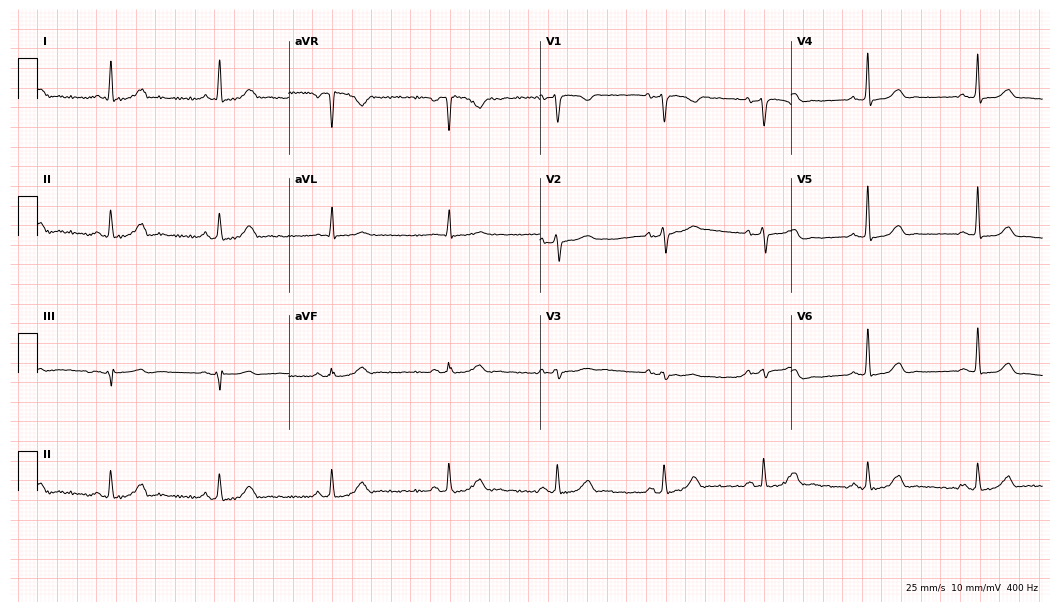
Resting 12-lead electrocardiogram. Patient: a 51-year-old woman. Read as a normal ECG.